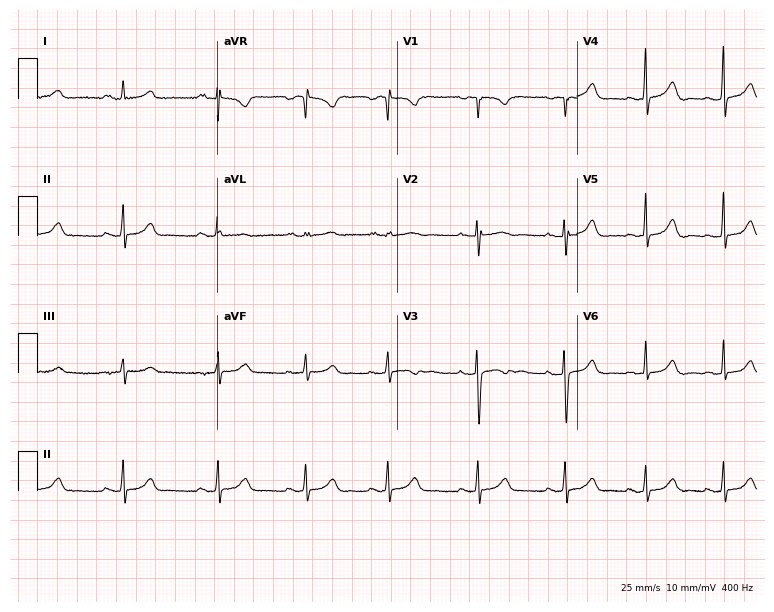
Standard 12-lead ECG recorded from an 18-year-old female patient. Read as a normal ECG.